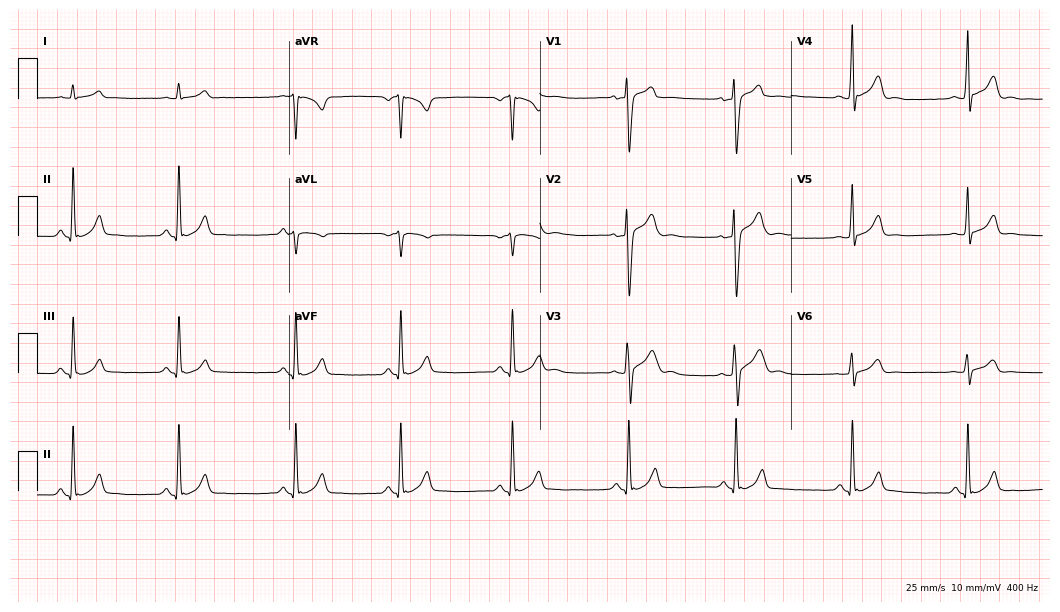
Standard 12-lead ECG recorded from a male patient, 27 years old (10.2-second recording at 400 Hz). Read as a normal ECG.